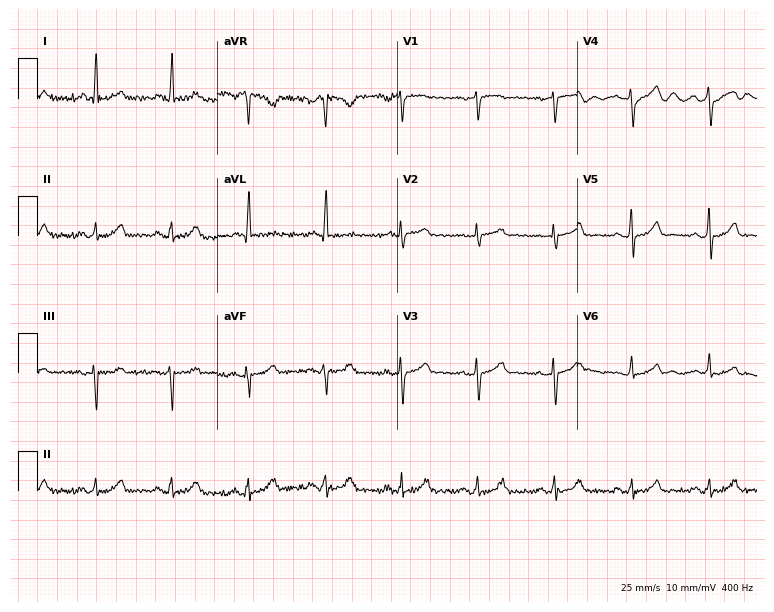
Resting 12-lead electrocardiogram (7.3-second recording at 400 Hz). Patient: a 66-year-old female. Read as a normal ECG.